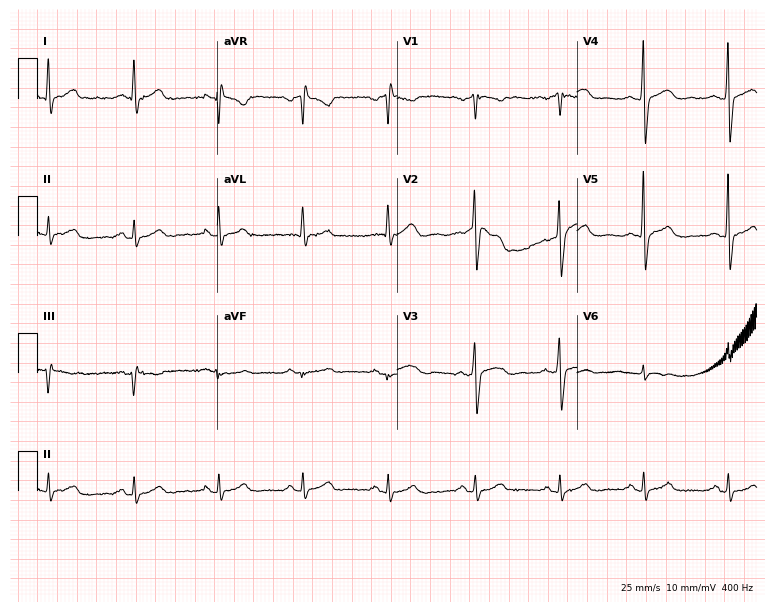
12-lead ECG from a male patient, 44 years old (7.3-second recording at 400 Hz). Recorded interpretation: within normal limits.